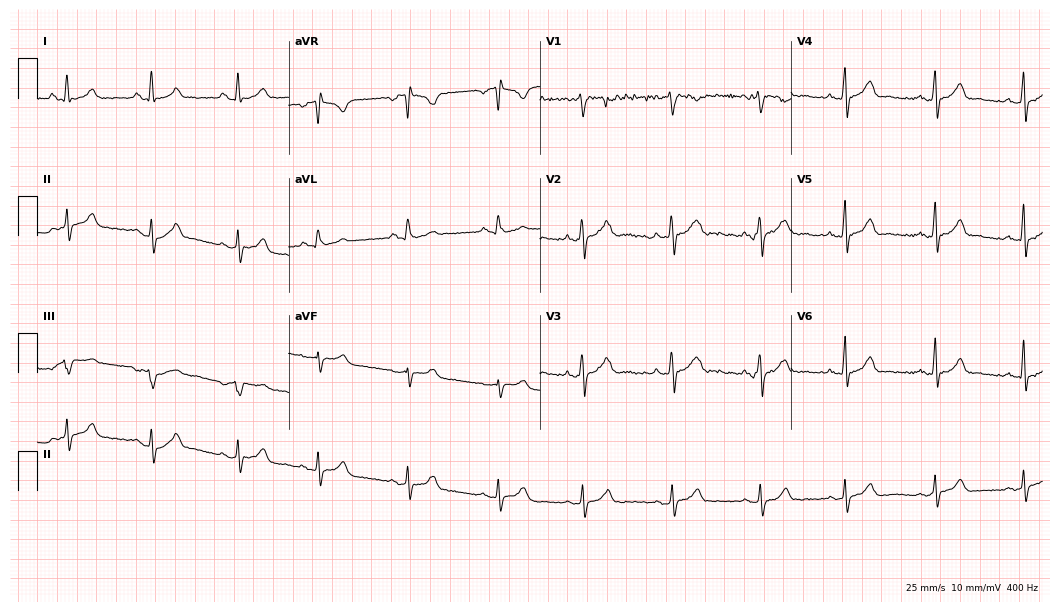
12-lead ECG from an 18-year-old female patient. Recorded interpretation: within normal limits.